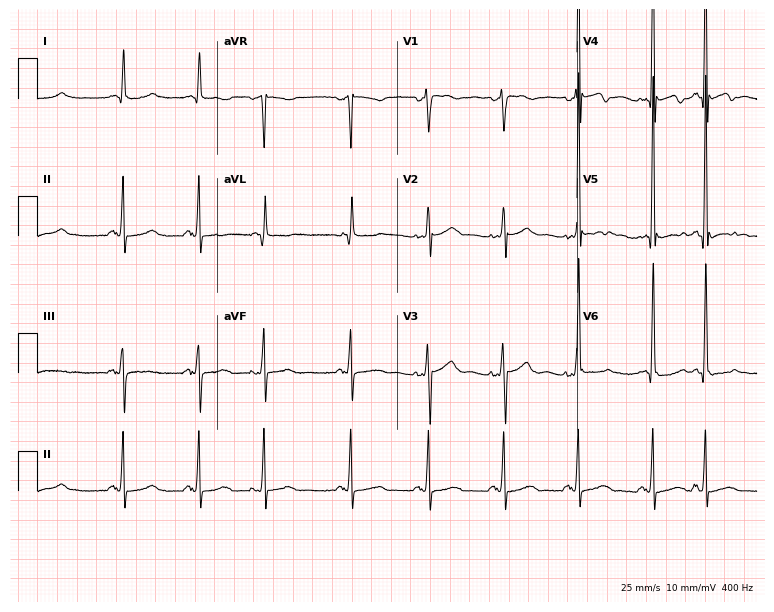
Standard 12-lead ECG recorded from an 80-year-old male patient (7.3-second recording at 400 Hz). None of these six findings is recorded: first-degree AV block, right bundle branch block (RBBB), left bundle branch block (LBBB), sinus bradycardia, atrial fibrillation (AF), sinus tachycardia.